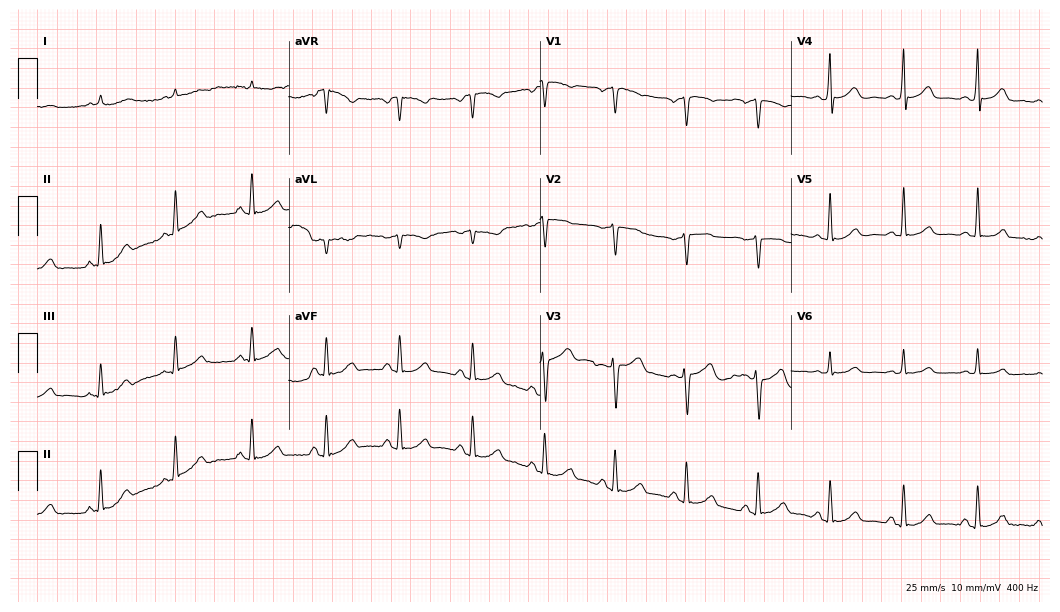
Electrocardiogram (10.2-second recording at 400 Hz), a 71-year-old man. Of the six screened findings (first-degree AV block, right bundle branch block, left bundle branch block, sinus bradycardia, atrial fibrillation, sinus tachycardia), none is recorded.